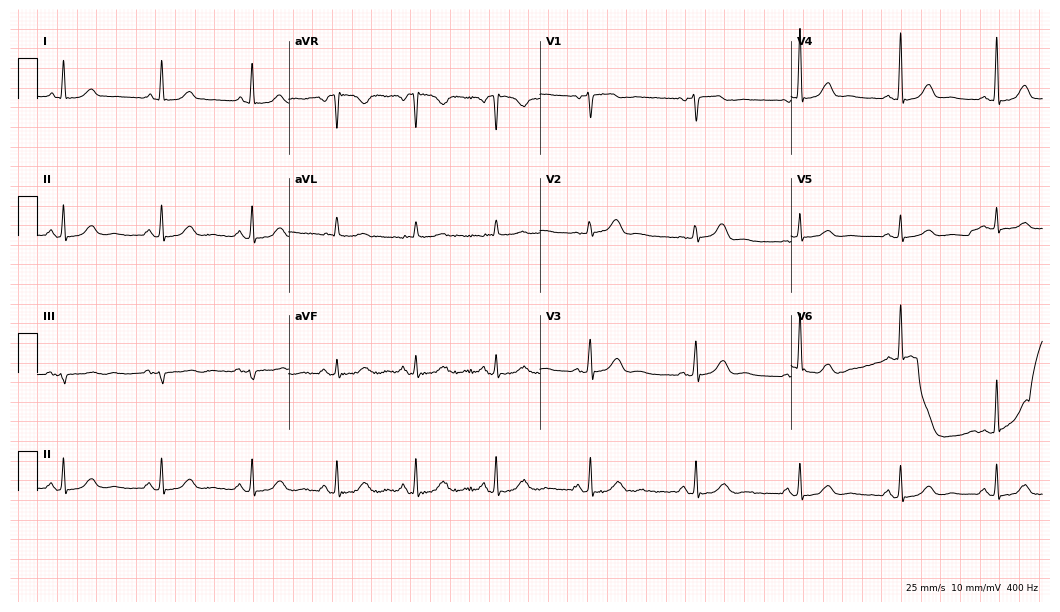
12-lead ECG from a 67-year-old female (10.2-second recording at 400 Hz). Recorded interpretation: within normal limits.